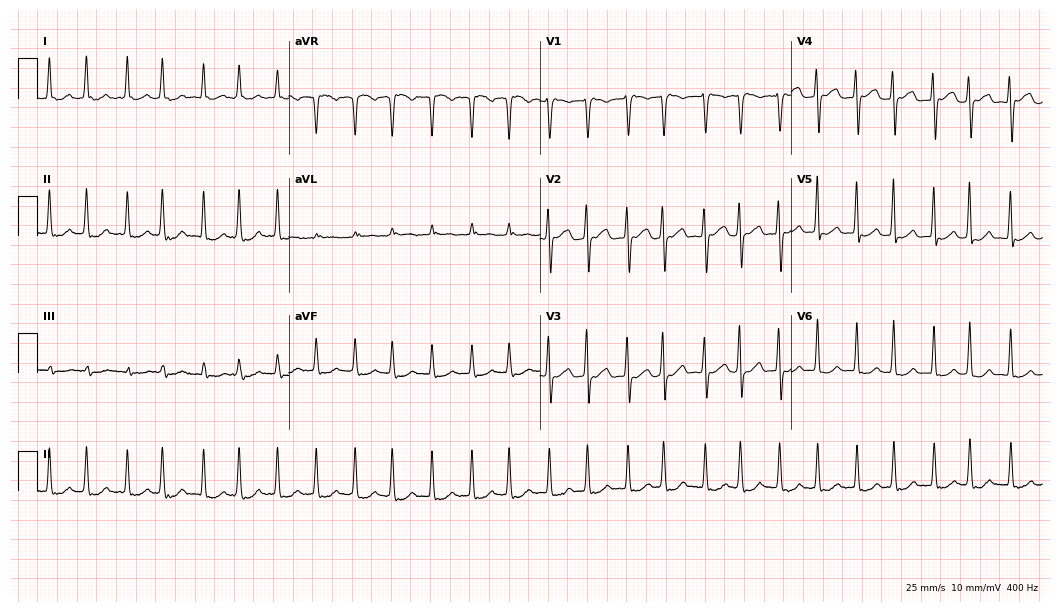
12-lead ECG from a 41-year-old female patient. Findings include atrial fibrillation.